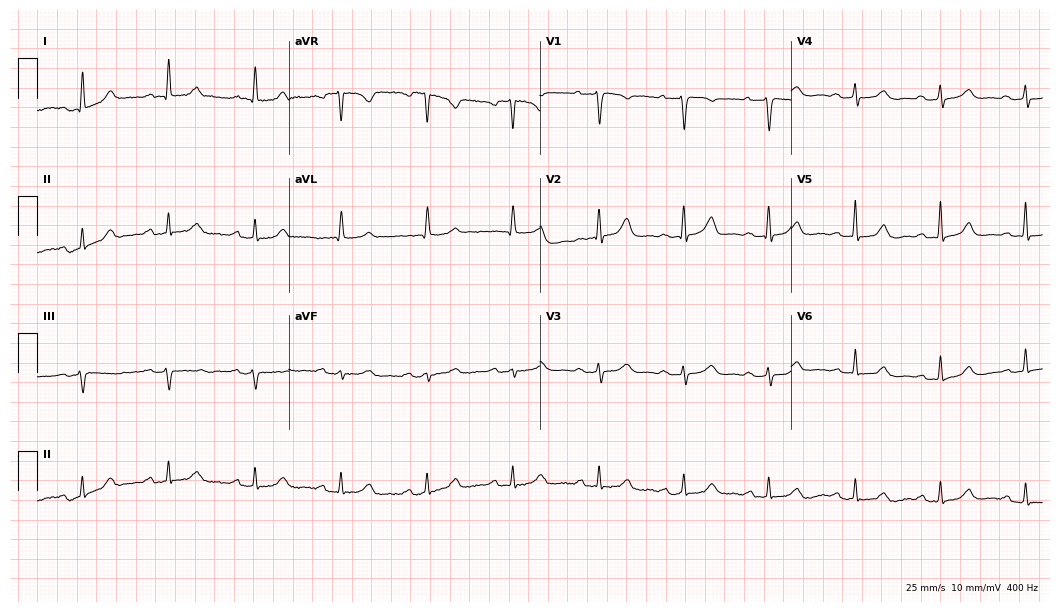
Standard 12-lead ECG recorded from a female, 79 years old (10.2-second recording at 400 Hz). Read as a normal ECG.